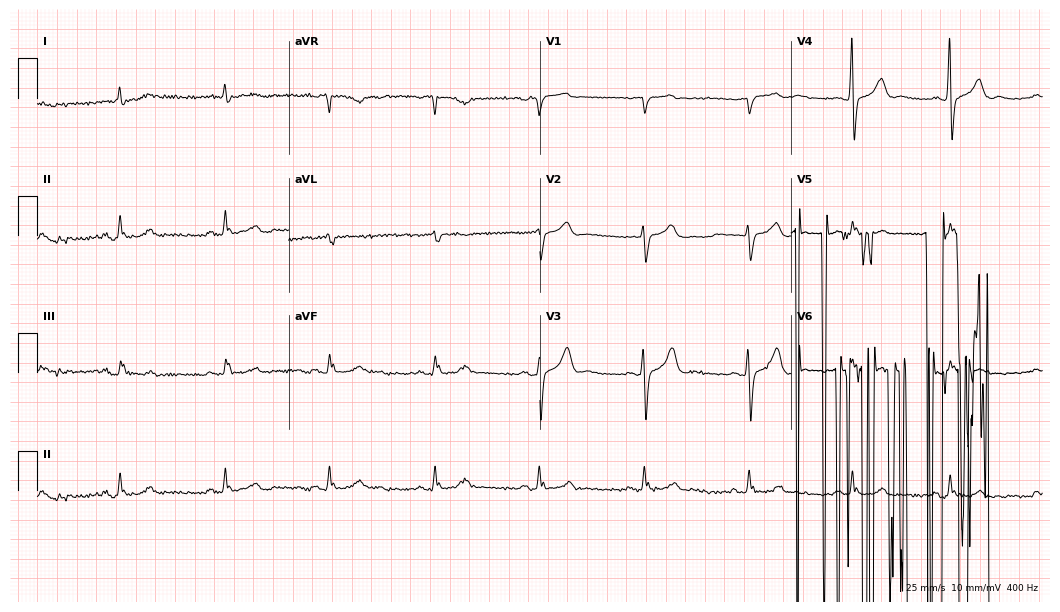
12-lead ECG (10.2-second recording at 400 Hz) from a man, 69 years old. Screened for six findings — first-degree AV block, right bundle branch block, left bundle branch block, sinus bradycardia, atrial fibrillation, sinus tachycardia — none is recorded. Findings outside these six are not listed.